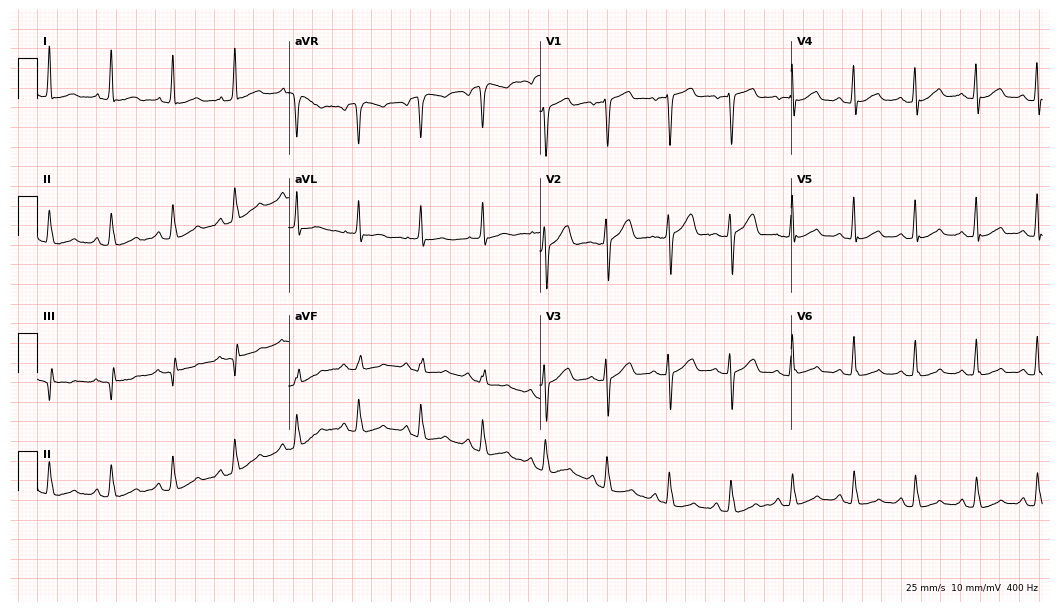
Electrocardiogram (10.2-second recording at 400 Hz), a female patient, 64 years old. Overall reading on record: normal ECG.